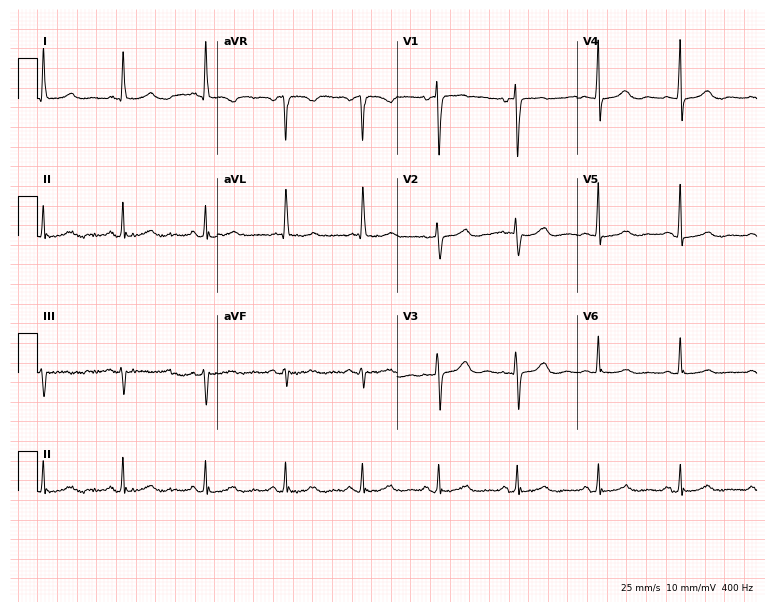
Electrocardiogram, a 72-year-old female patient. Overall reading on record: normal ECG.